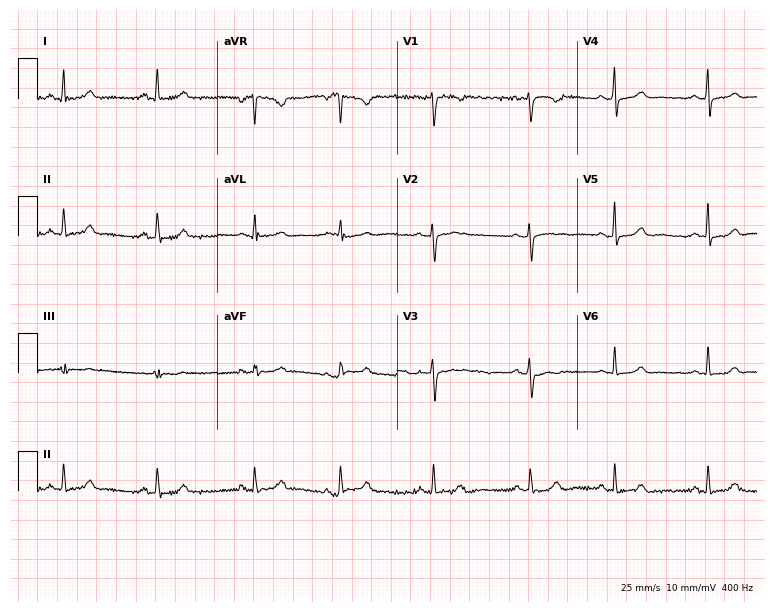
Electrocardiogram (7.3-second recording at 400 Hz), a female patient, 22 years old. Overall reading on record: normal ECG.